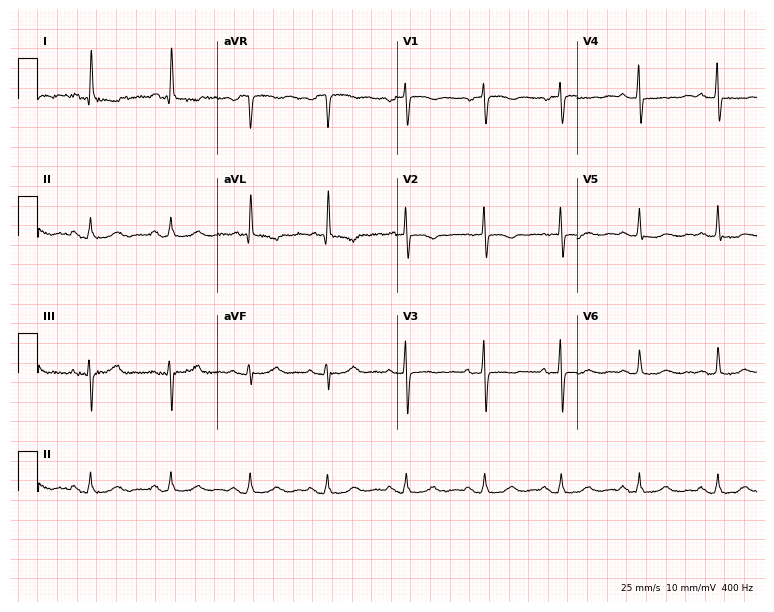
Electrocardiogram, a woman, 79 years old. Of the six screened findings (first-degree AV block, right bundle branch block (RBBB), left bundle branch block (LBBB), sinus bradycardia, atrial fibrillation (AF), sinus tachycardia), none is recorded. Findings outside these six are not listed.